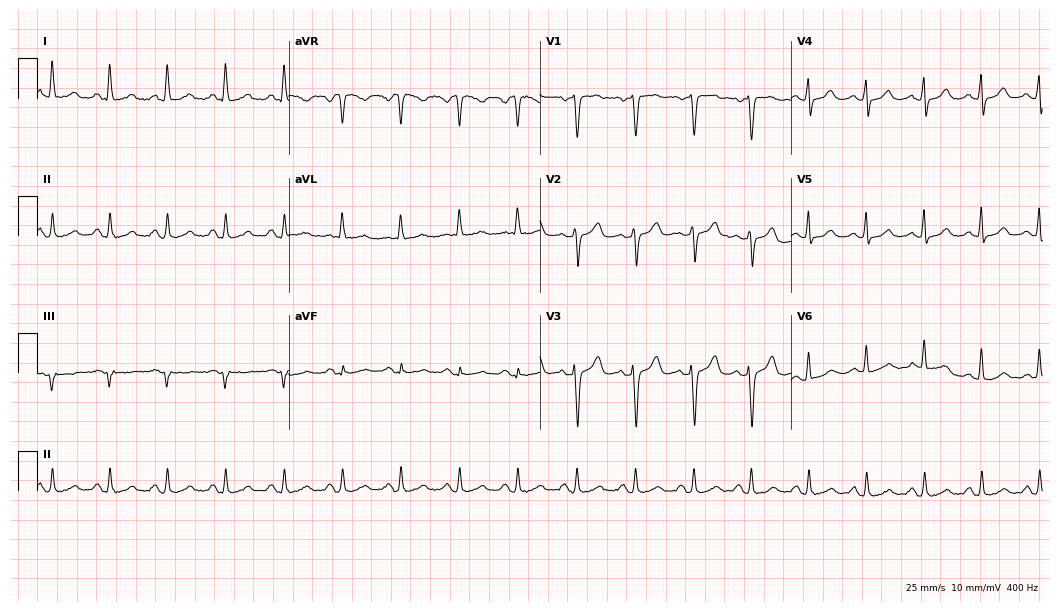
Resting 12-lead electrocardiogram (10.2-second recording at 400 Hz). Patient: a female, 46 years old. Read as a normal ECG.